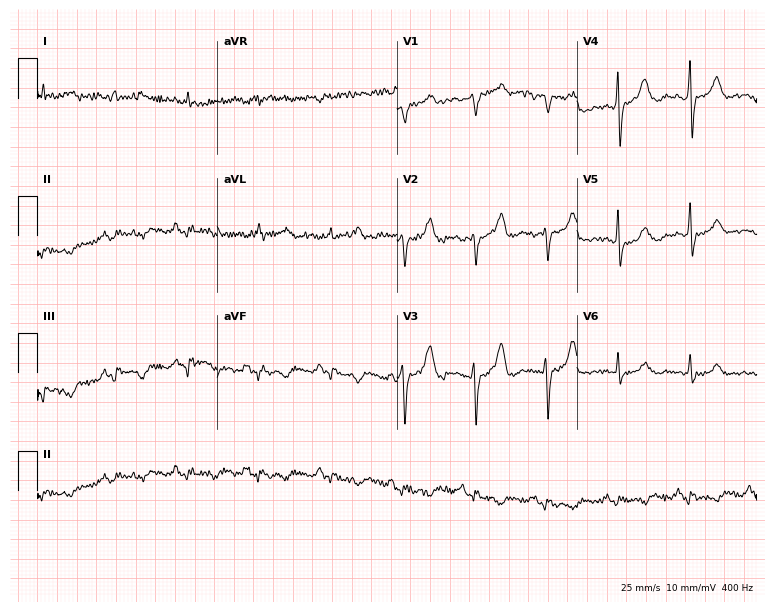
ECG (7.3-second recording at 400 Hz) — a man, 81 years old. Screened for six findings — first-degree AV block, right bundle branch block, left bundle branch block, sinus bradycardia, atrial fibrillation, sinus tachycardia — none is recorded.